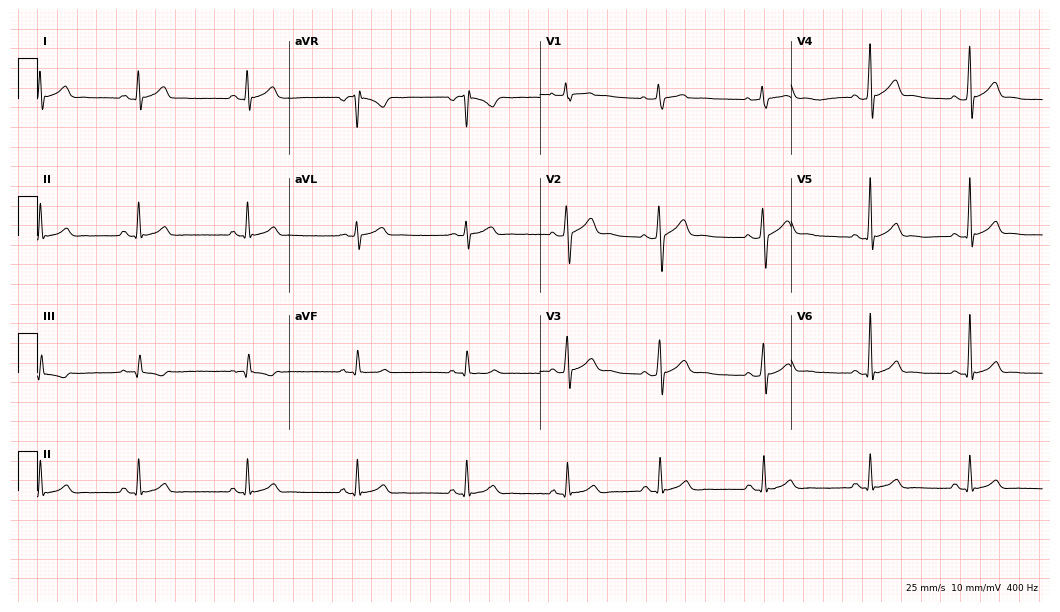
ECG (10.2-second recording at 400 Hz) — a male, 28 years old. Labelled as a normal ECG.